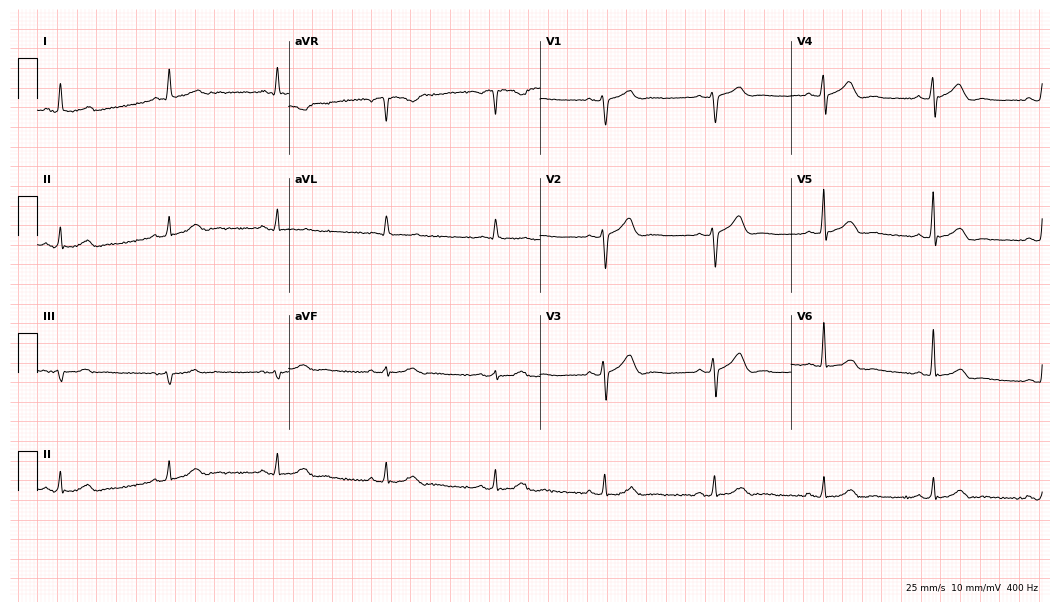
12-lead ECG (10.2-second recording at 400 Hz) from a female patient, 59 years old. Labelled as a normal ECG.